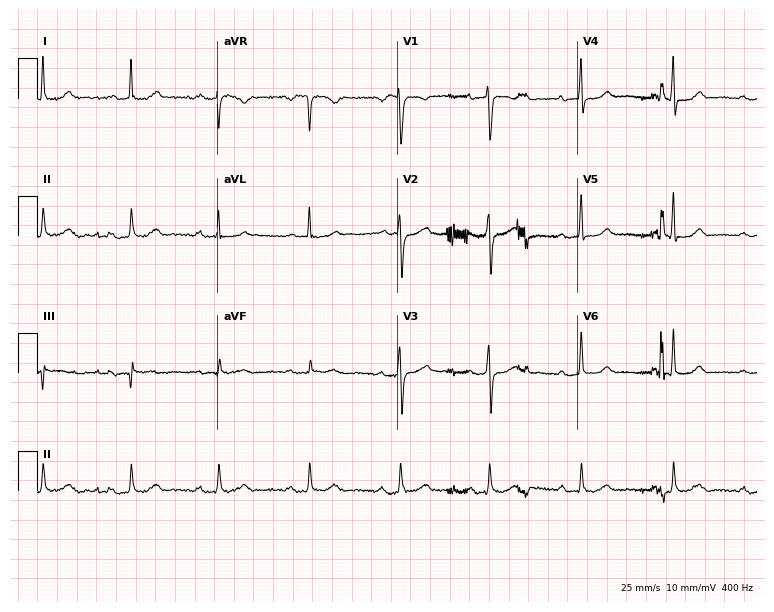
12-lead ECG from a 49-year-old female patient. Labelled as a normal ECG.